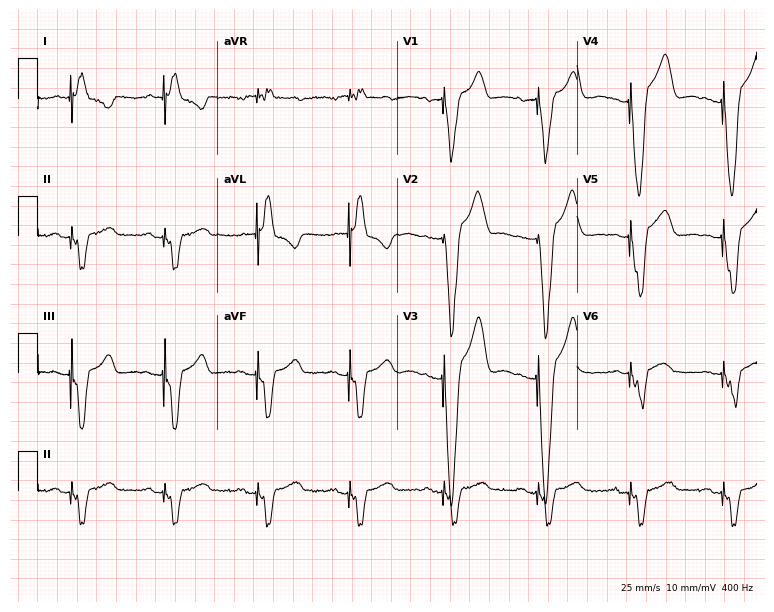
ECG (7.3-second recording at 400 Hz) — a 73-year-old man. Screened for six findings — first-degree AV block, right bundle branch block, left bundle branch block, sinus bradycardia, atrial fibrillation, sinus tachycardia — none is recorded.